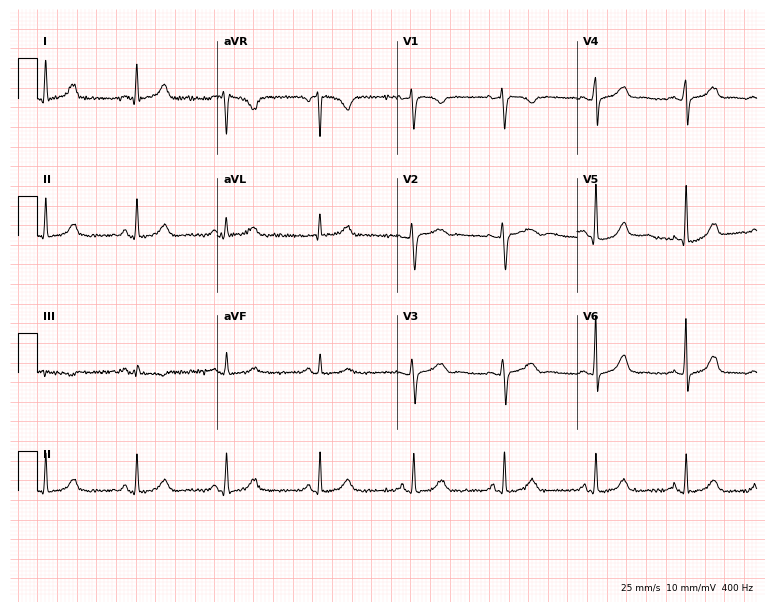
Resting 12-lead electrocardiogram (7.3-second recording at 400 Hz). Patient: a 46-year-old woman. Read as a normal ECG.